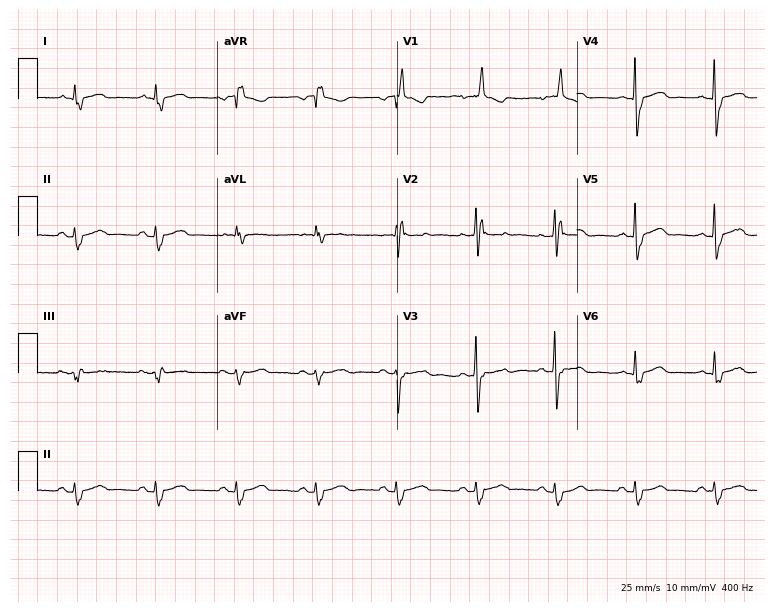
Resting 12-lead electrocardiogram (7.3-second recording at 400 Hz). Patient: an 80-year-old man. None of these six findings is recorded: first-degree AV block, right bundle branch block, left bundle branch block, sinus bradycardia, atrial fibrillation, sinus tachycardia. Findings outside these six are not listed.